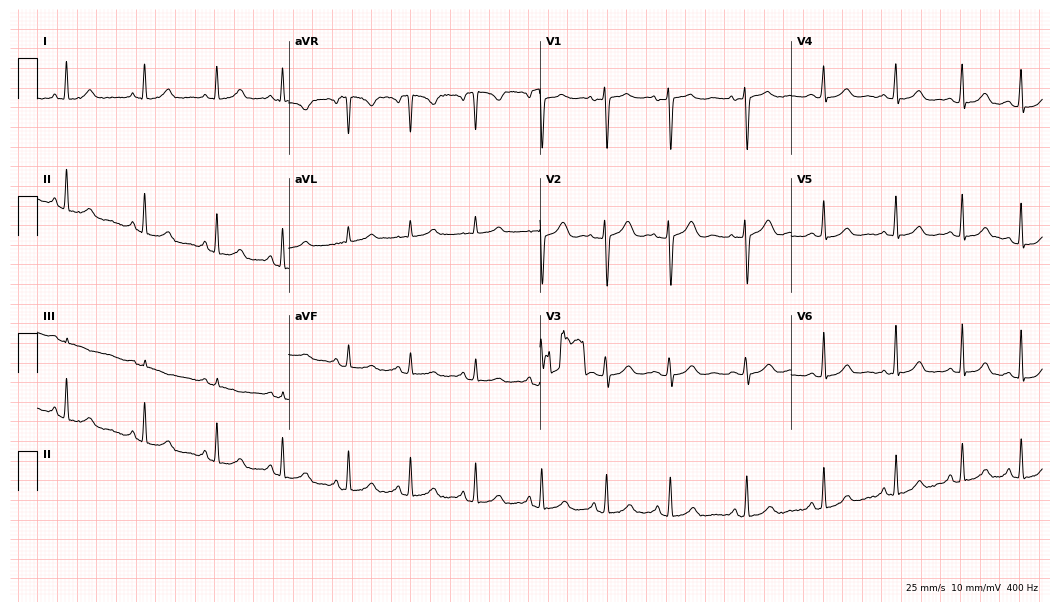
12-lead ECG from a female patient, 38 years old. Labelled as a normal ECG.